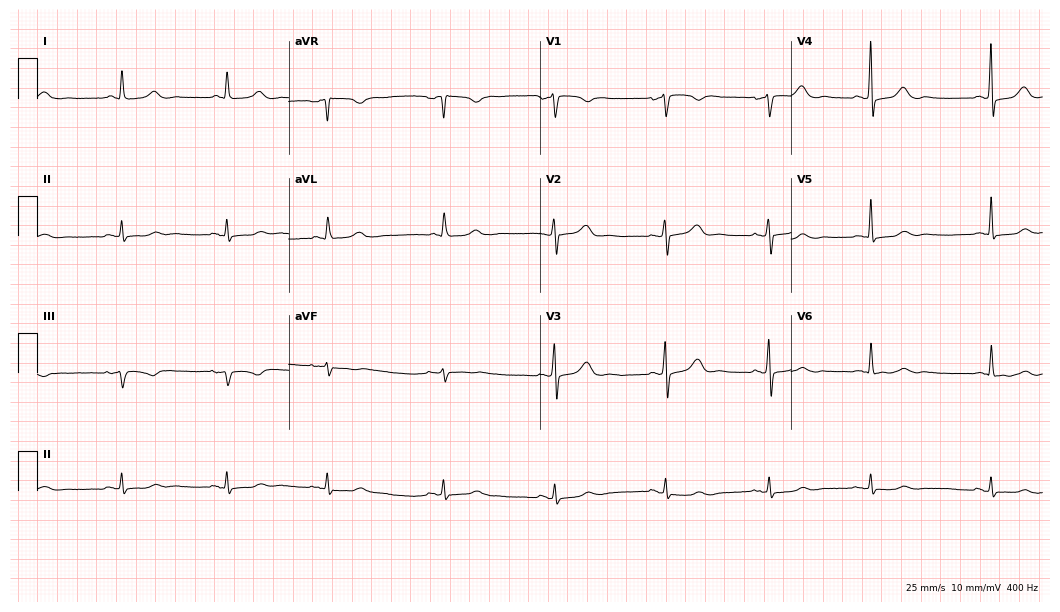
12-lead ECG from a 59-year-old female patient. Recorded interpretation: within normal limits.